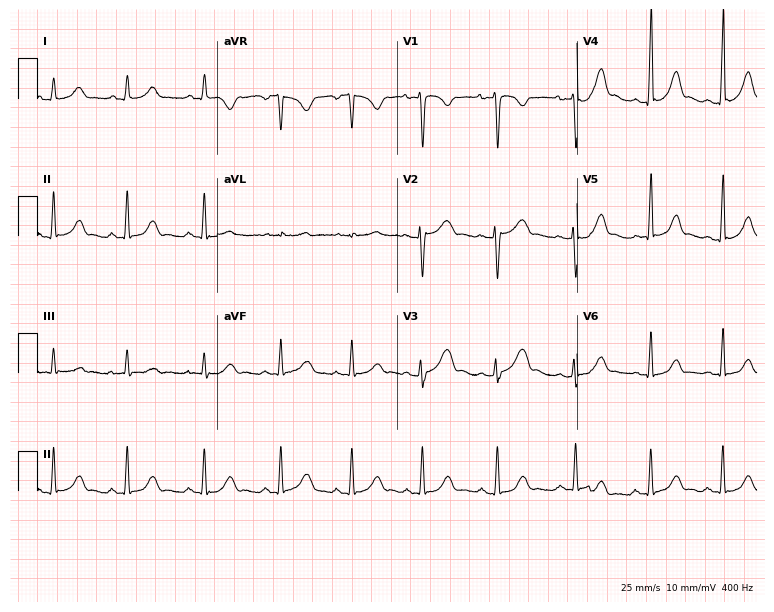
Electrocardiogram (7.3-second recording at 400 Hz), a 24-year-old woman. Of the six screened findings (first-degree AV block, right bundle branch block, left bundle branch block, sinus bradycardia, atrial fibrillation, sinus tachycardia), none is recorded.